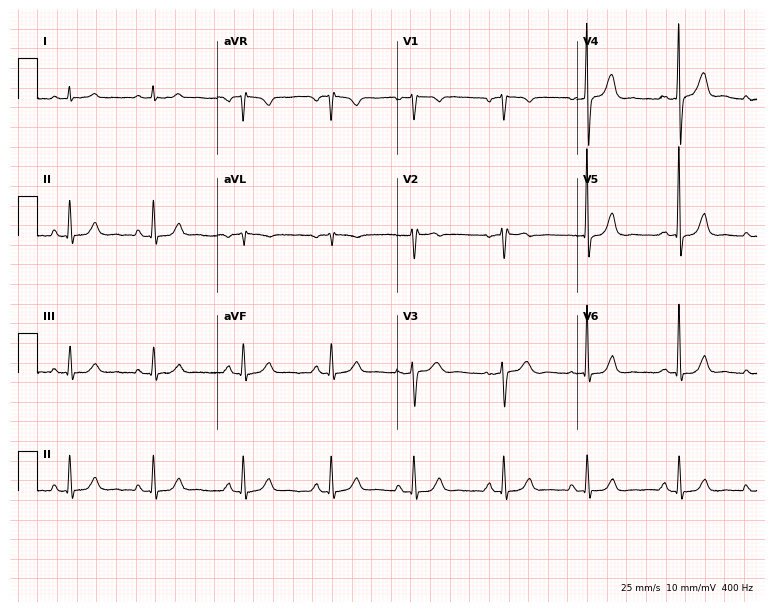
Standard 12-lead ECG recorded from a 44-year-old man (7.3-second recording at 400 Hz). None of these six findings is recorded: first-degree AV block, right bundle branch block (RBBB), left bundle branch block (LBBB), sinus bradycardia, atrial fibrillation (AF), sinus tachycardia. Findings outside these six are not listed.